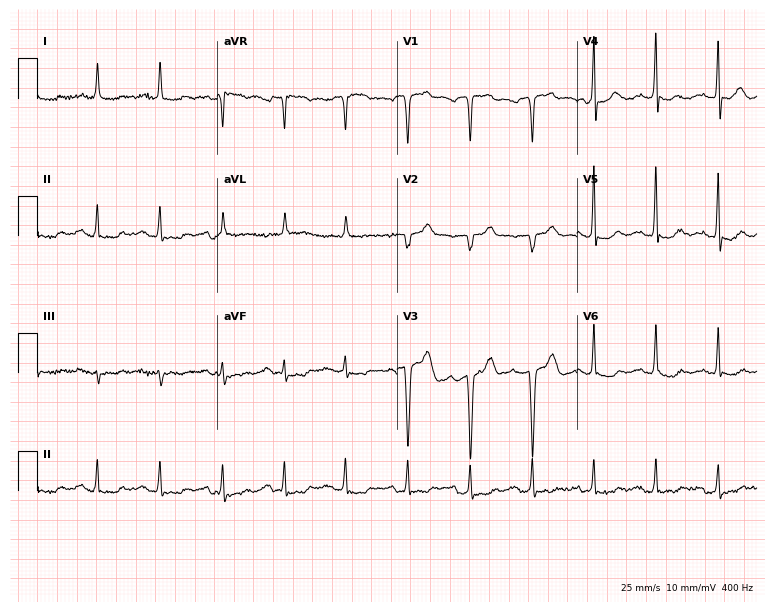
Electrocardiogram, an 84-year-old male patient. Of the six screened findings (first-degree AV block, right bundle branch block, left bundle branch block, sinus bradycardia, atrial fibrillation, sinus tachycardia), none is recorded.